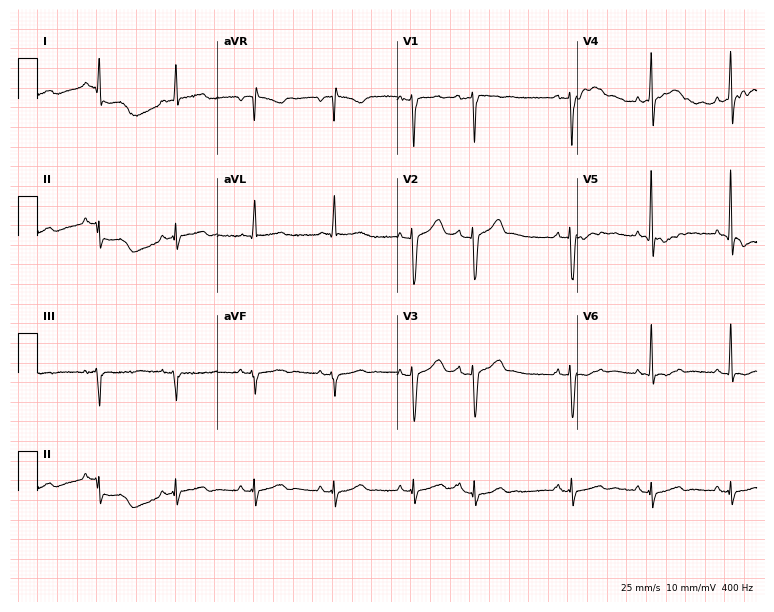
ECG — a male, 72 years old. Screened for six findings — first-degree AV block, right bundle branch block, left bundle branch block, sinus bradycardia, atrial fibrillation, sinus tachycardia — none is recorded.